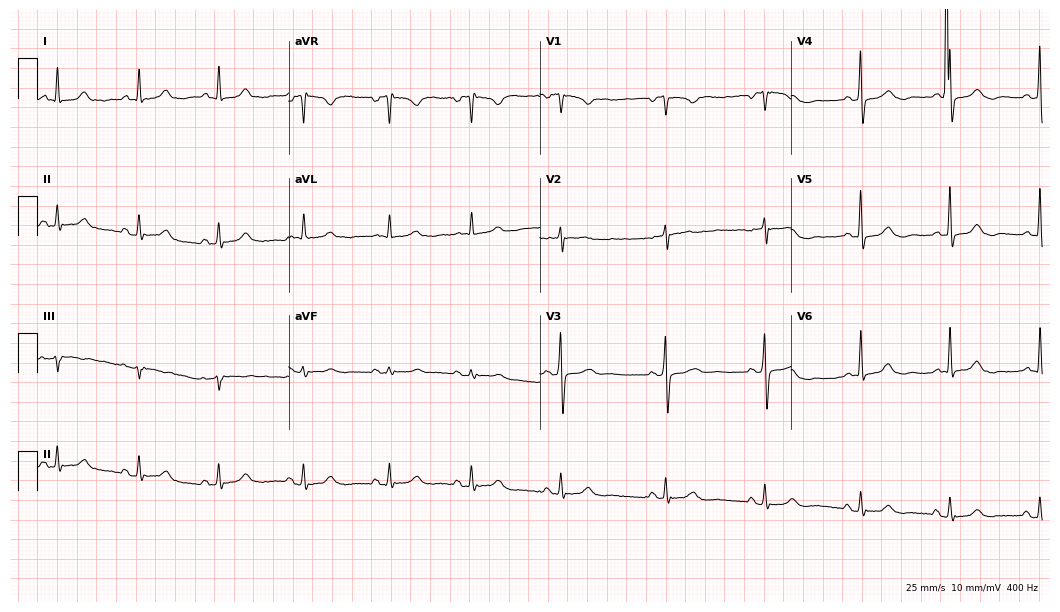
Standard 12-lead ECG recorded from a woman, 68 years old. Read as a normal ECG.